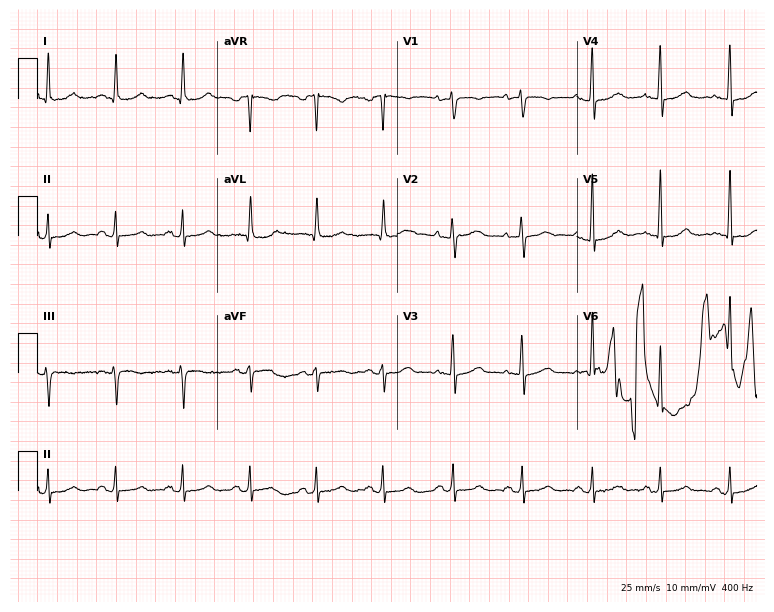
Standard 12-lead ECG recorded from a 40-year-old female. None of these six findings is recorded: first-degree AV block, right bundle branch block, left bundle branch block, sinus bradycardia, atrial fibrillation, sinus tachycardia.